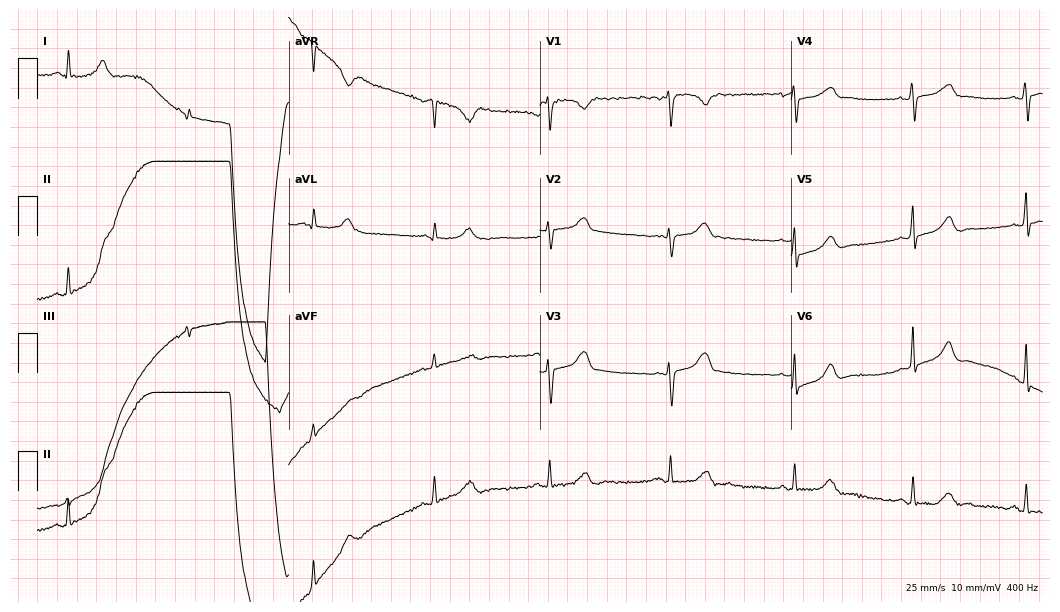
Standard 12-lead ECG recorded from a 37-year-old female patient. The tracing shows sinus bradycardia (a sinus rate of 50 beats per minute or less).